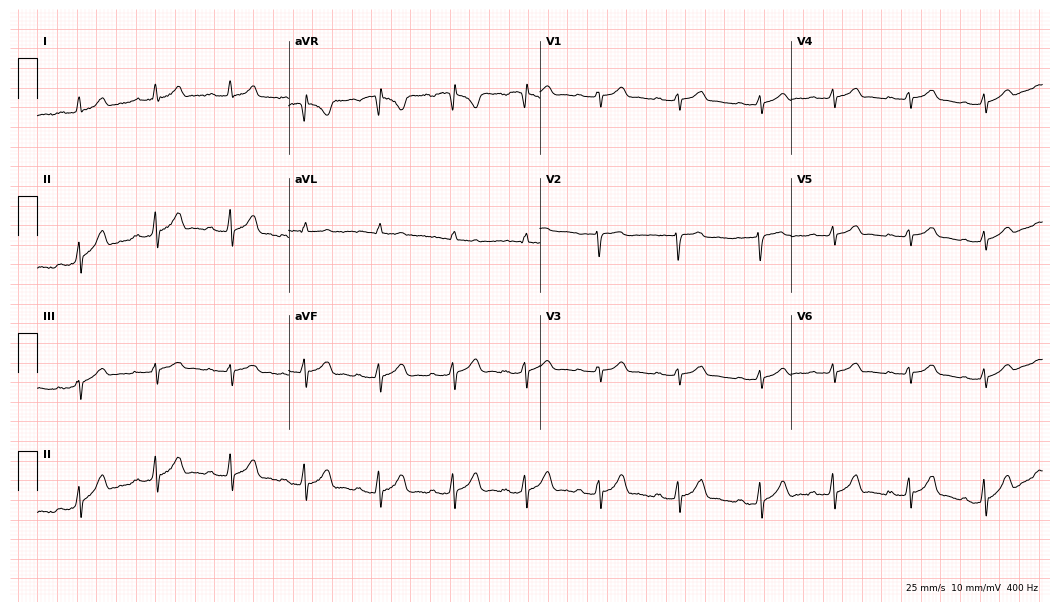
ECG (10.2-second recording at 400 Hz) — a female, 31 years old. Findings include first-degree AV block.